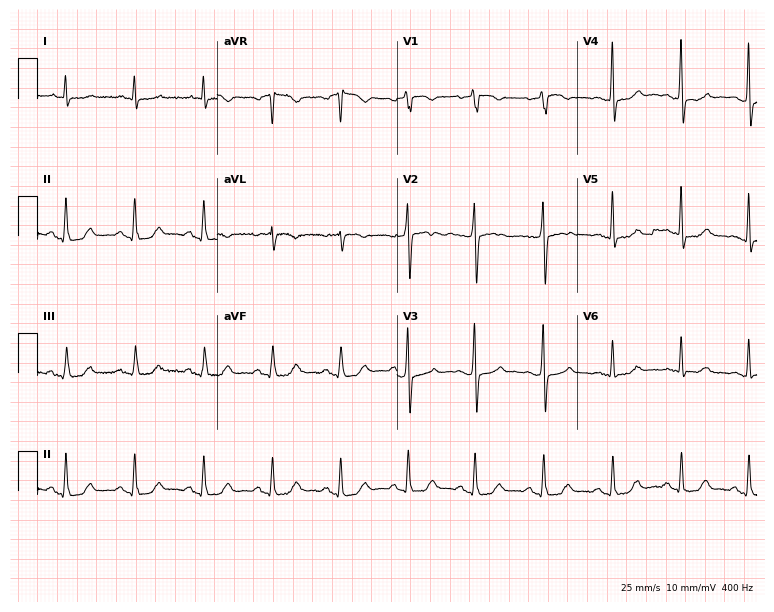
Resting 12-lead electrocardiogram (7.3-second recording at 400 Hz). Patient: a male, 72 years old. Read as a normal ECG.